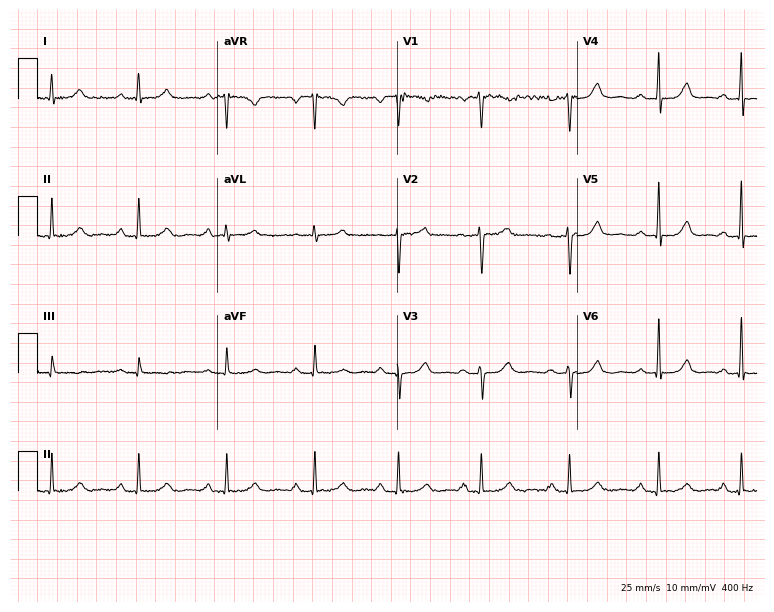
Resting 12-lead electrocardiogram (7.3-second recording at 400 Hz). Patient: a 45-year-old woman. Read as a normal ECG.